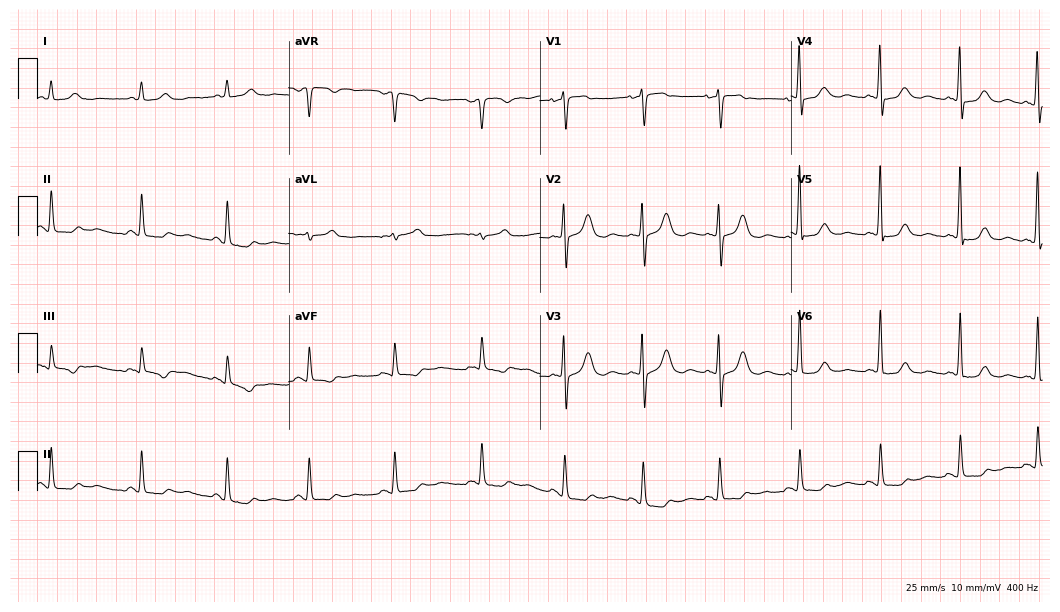
12-lead ECG (10.2-second recording at 400 Hz) from a female, 60 years old. Labelled as a normal ECG.